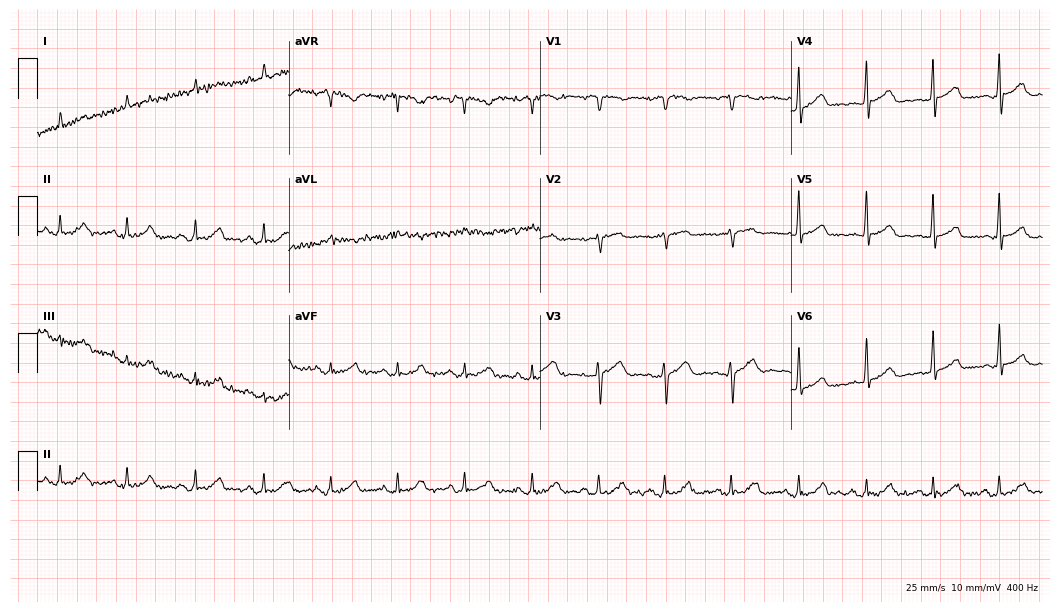
ECG (10.2-second recording at 400 Hz) — a 71-year-old male patient. Labelled as a normal ECG.